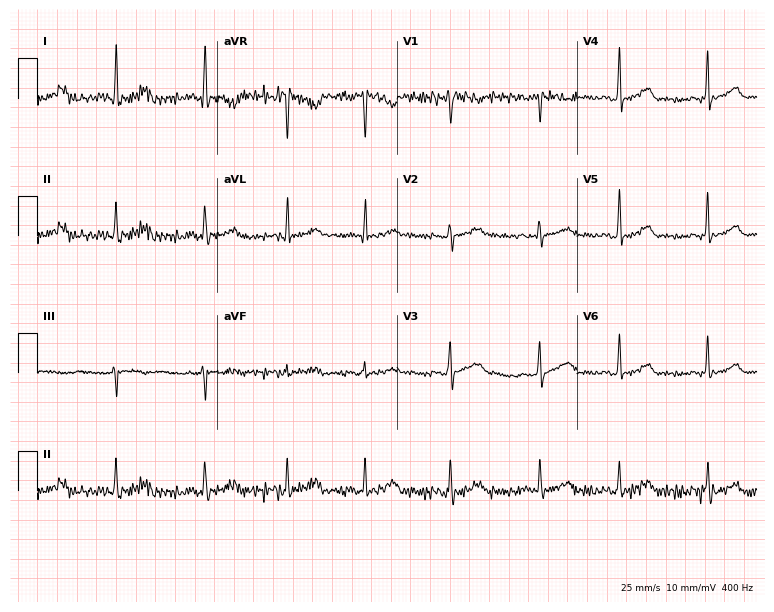
Electrocardiogram (7.3-second recording at 400 Hz), a female, 33 years old. Of the six screened findings (first-degree AV block, right bundle branch block (RBBB), left bundle branch block (LBBB), sinus bradycardia, atrial fibrillation (AF), sinus tachycardia), none is recorded.